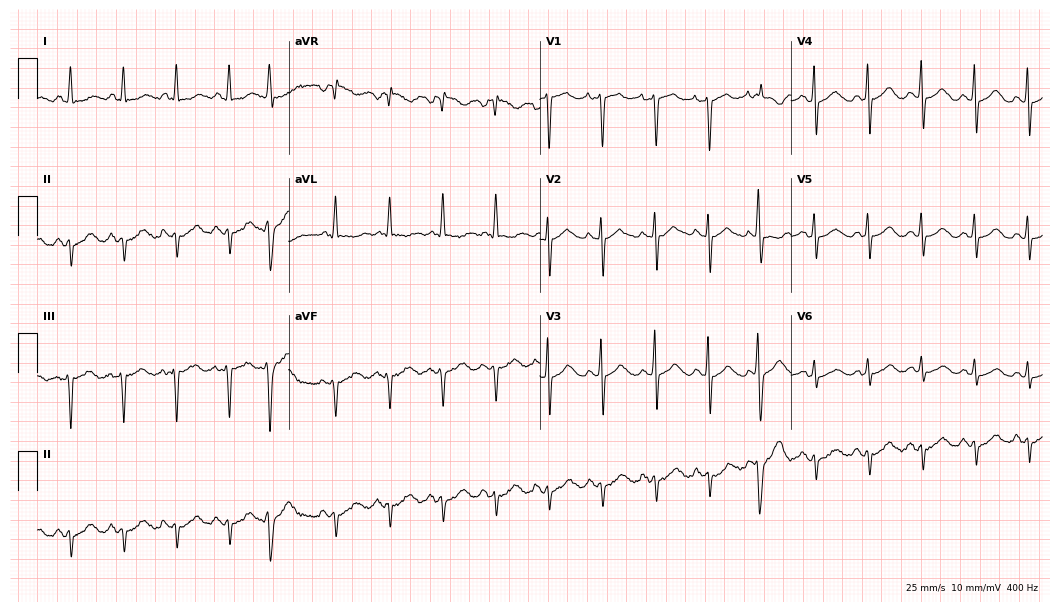
ECG — a woman, 80 years old. Screened for six findings — first-degree AV block, right bundle branch block (RBBB), left bundle branch block (LBBB), sinus bradycardia, atrial fibrillation (AF), sinus tachycardia — none is recorded. Only these six findings were labelled.